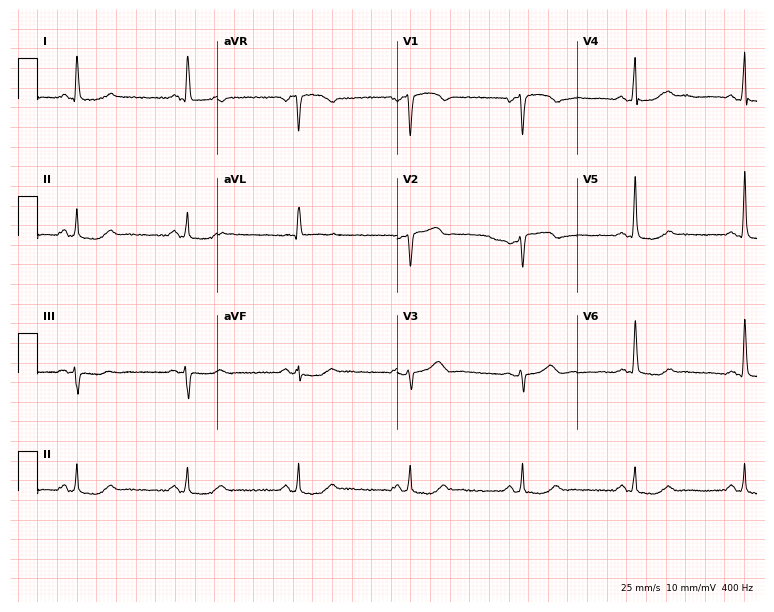
12-lead ECG from a male, 68 years old (7.3-second recording at 400 Hz). No first-degree AV block, right bundle branch block (RBBB), left bundle branch block (LBBB), sinus bradycardia, atrial fibrillation (AF) or sinus tachycardia recorded for this tracing. Findings outside these six are not listed.